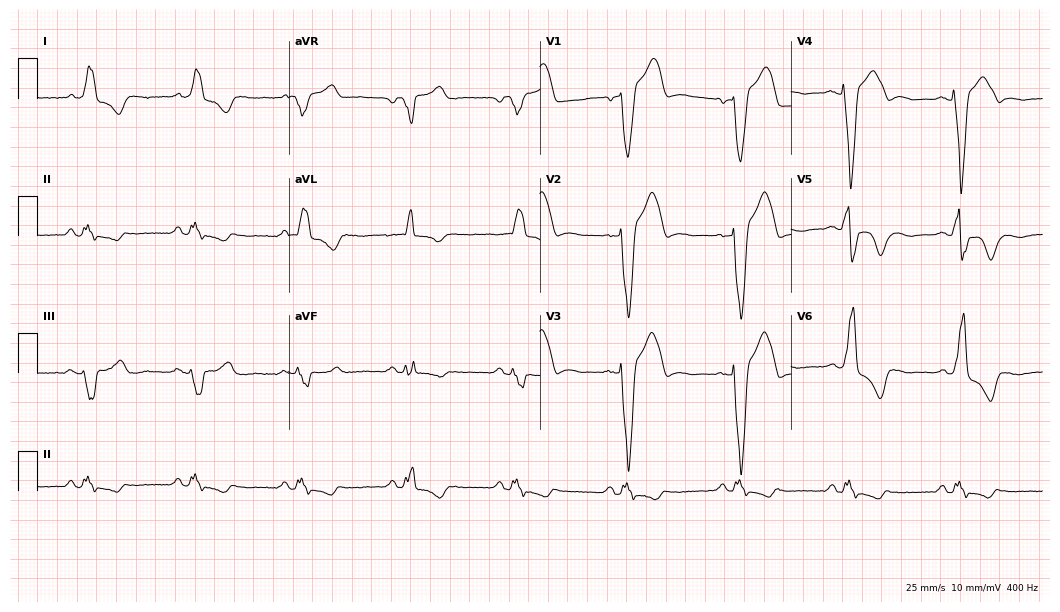
ECG (10.2-second recording at 400 Hz) — a 63-year-old male. Findings include left bundle branch block.